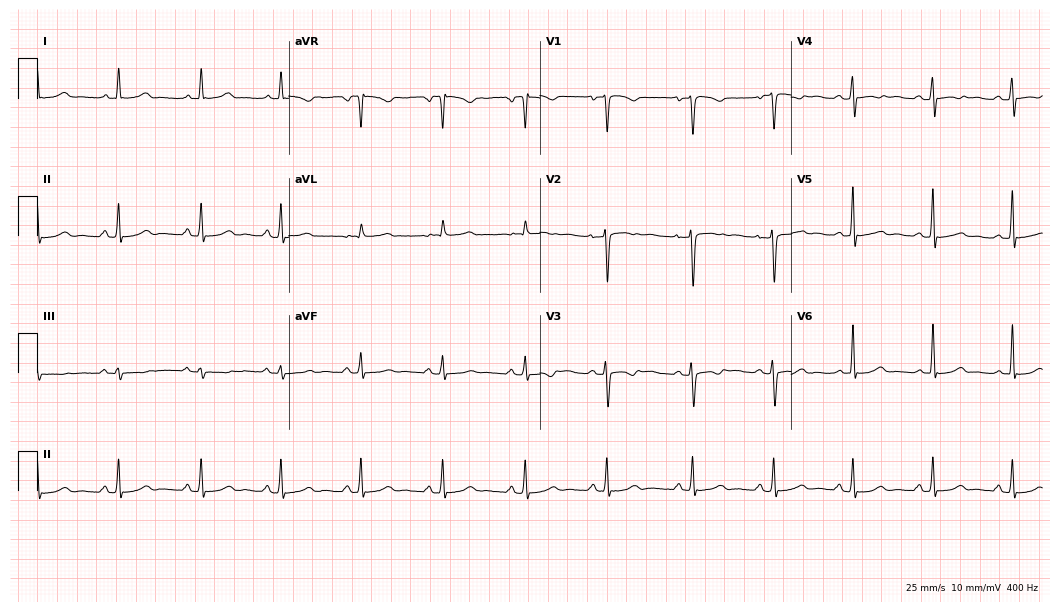
Resting 12-lead electrocardiogram (10.2-second recording at 400 Hz). Patient: an 80-year-old male. None of these six findings is recorded: first-degree AV block, right bundle branch block, left bundle branch block, sinus bradycardia, atrial fibrillation, sinus tachycardia.